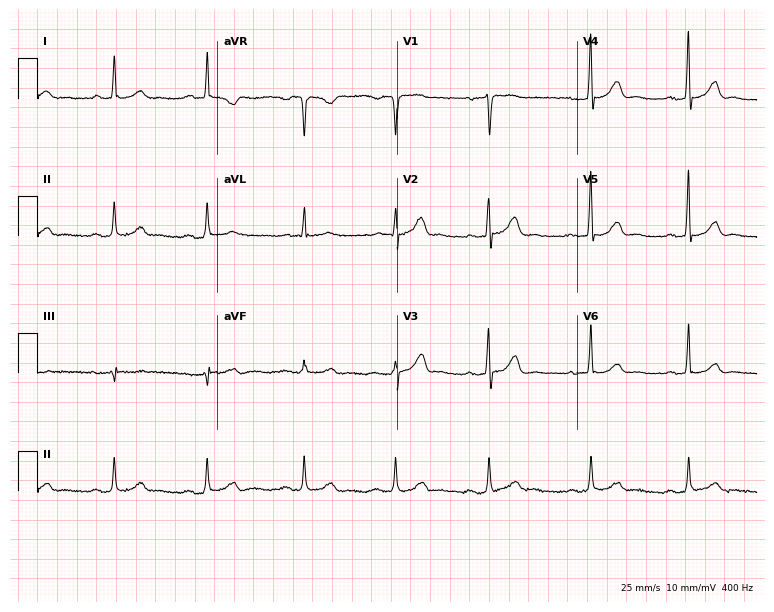
Standard 12-lead ECG recorded from a 63-year-old female (7.3-second recording at 400 Hz). Read as a normal ECG.